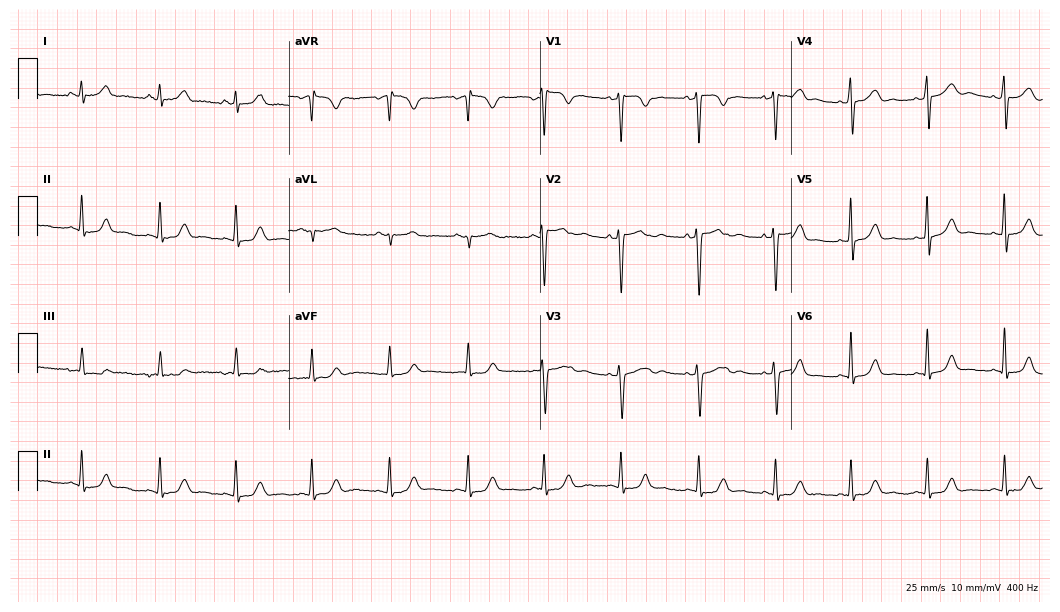
Resting 12-lead electrocardiogram (10.2-second recording at 400 Hz). Patient: a woman, 36 years old. Read as a normal ECG.